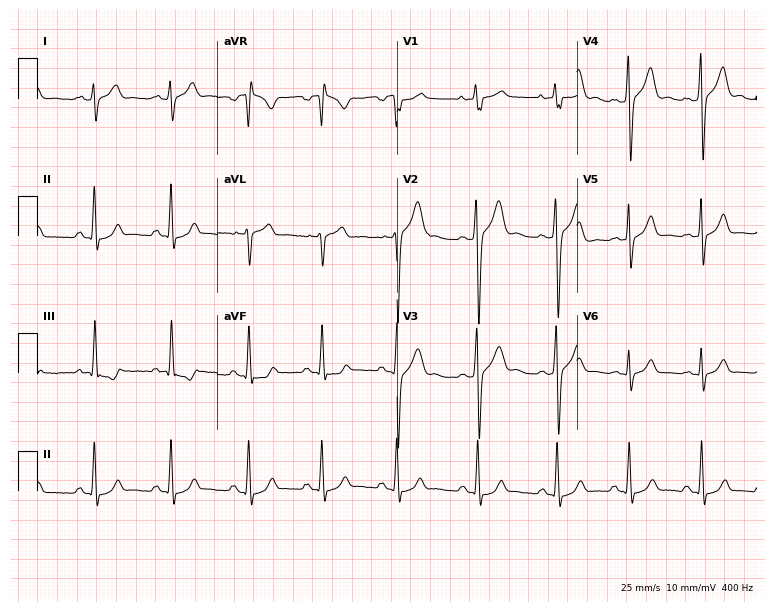
Standard 12-lead ECG recorded from a male, 23 years old (7.3-second recording at 400 Hz). None of these six findings is recorded: first-degree AV block, right bundle branch block (RBBB), left bundle branch block (LBBB), sinus bradycardia, atrial fibrillation (AF), sinus tachycardia. Only these six findings were labelled.